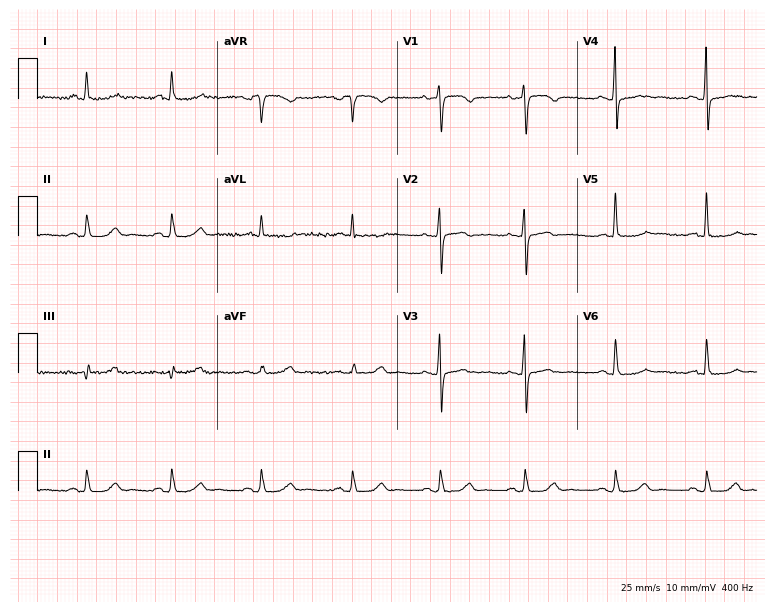
Standard 12-lead ECG recorded from a woman, 64 years old. Read as a normal ECG.